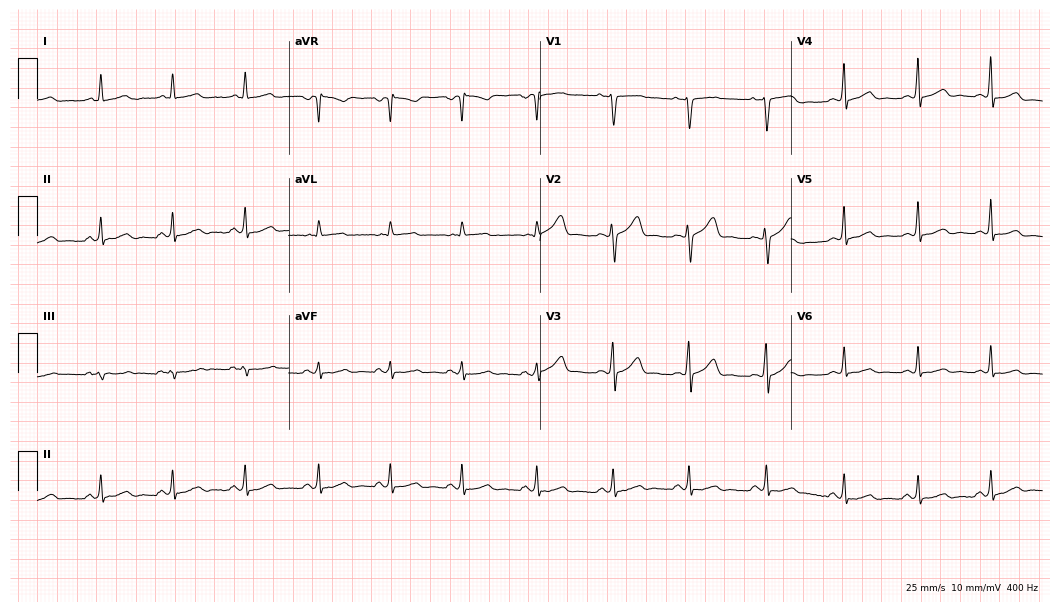
12-lead ECG from a female, 34 years old. Recorded interpretation: within normal limits.